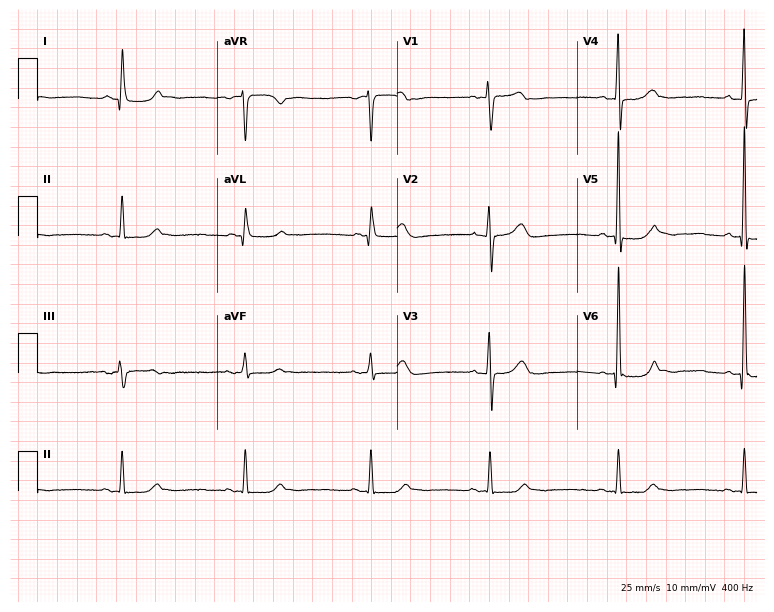
ECG — a 72-year-old female patient. Screened for six findings — first-degree AV block, right bundle branch block, left bundle branch block, sinus bradycardia, atrial fibrillation, sinus tachycardia — none is recorded.